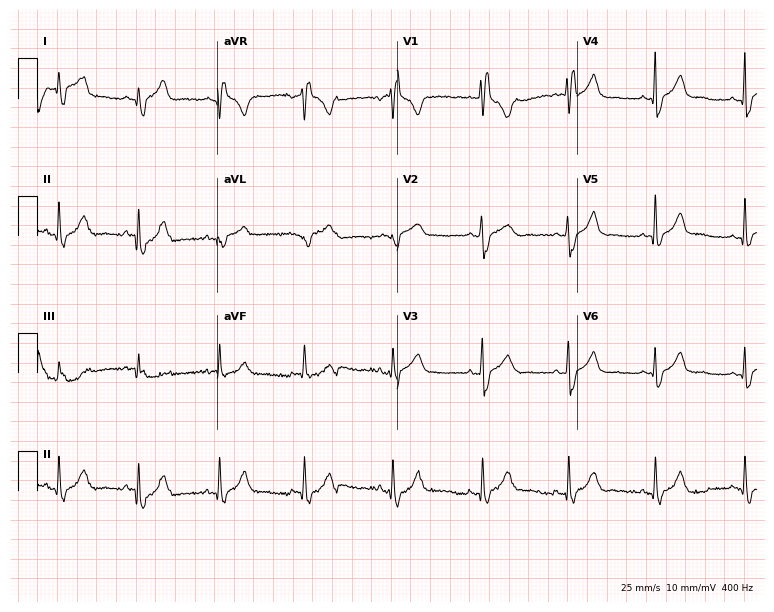
12-lead ECG (7.3-second recording at 400 Hz) from a female, 36 years old. Screened for six findings — first-degree AV block, right bundle branch block, left bundle branch block, sinus bradycardia, atrial fibrillation, sinus tachycardia — none is recorded. Only these six findings were labelled.